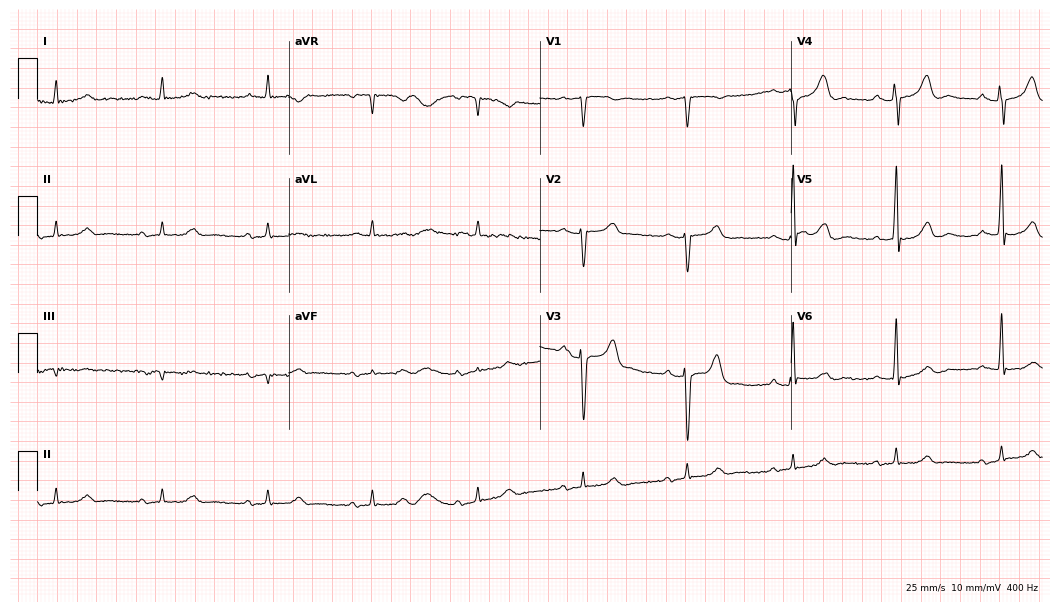
Resting 12-lead electrocardiogram (10.2-second recording at 400 Hz). Patient: a 77-year-old woman. The tracing shows first-degree AV block.